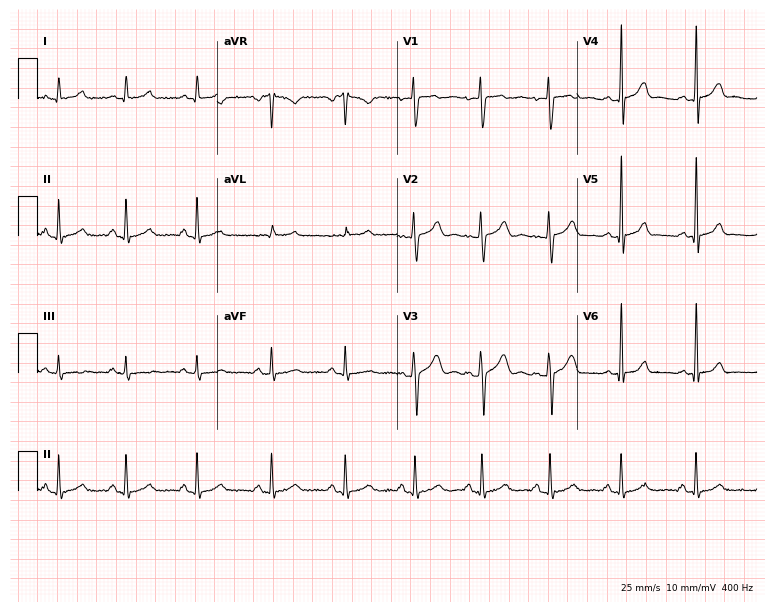
Resting 12-lead electrocardiogram. Patient: a 25-year-old female. Read as a normal ECG.